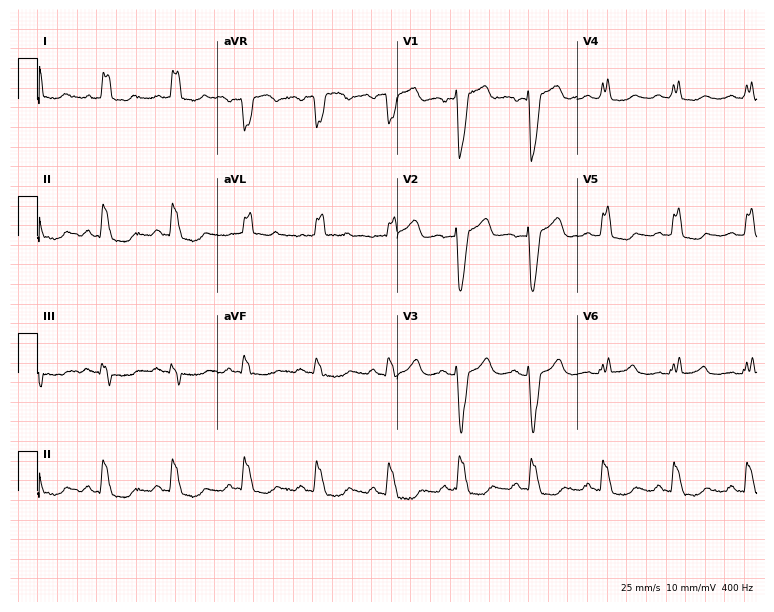
12-lead ECG (7.3-second recording at 400 Hz) from a female patient, 38 years old. Findings include left bundle branch block (LBBB).